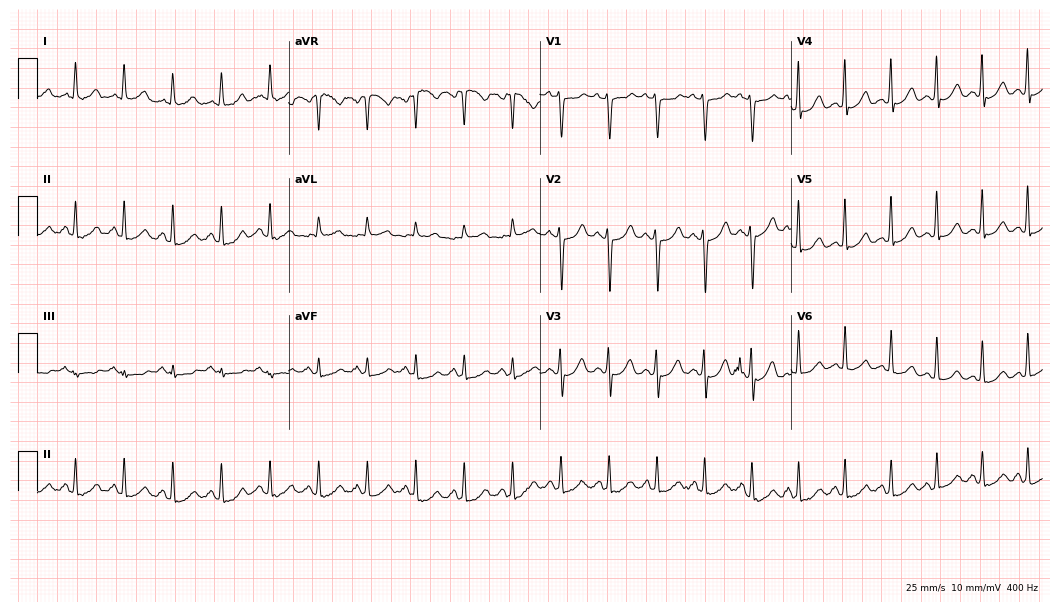
Electrocardiogram (10.2-second recording at 400 Hz), a female, 41 years old. Interpretation includes sinus tachycardia (a sinus rate of 100 beats per minute or more).